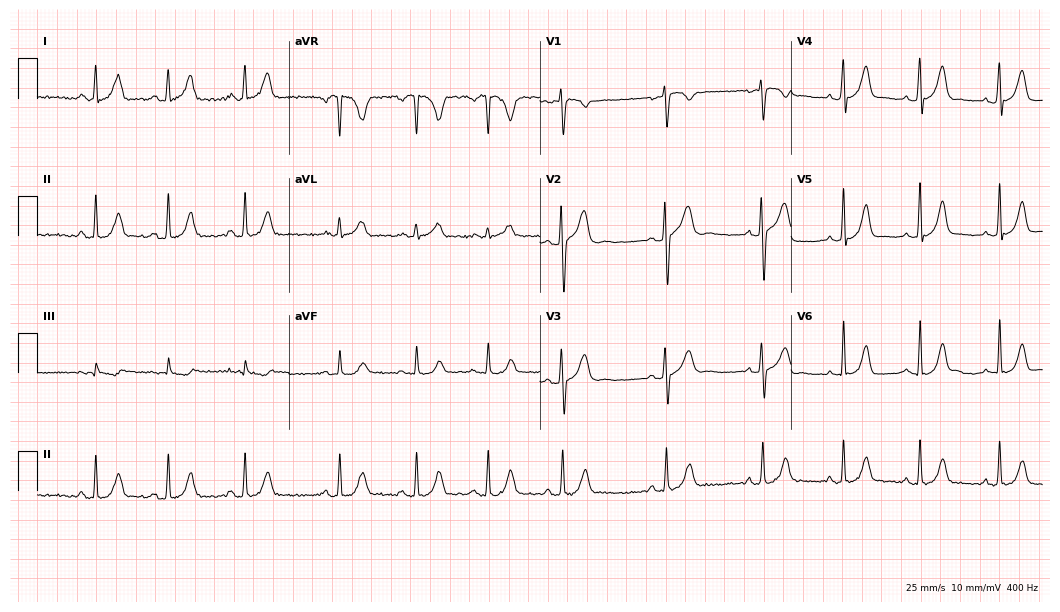
12-lead ECG from a female, 17 years old (10.2-second recording at 400 Hz). Recorded interpretation: within normal limits.